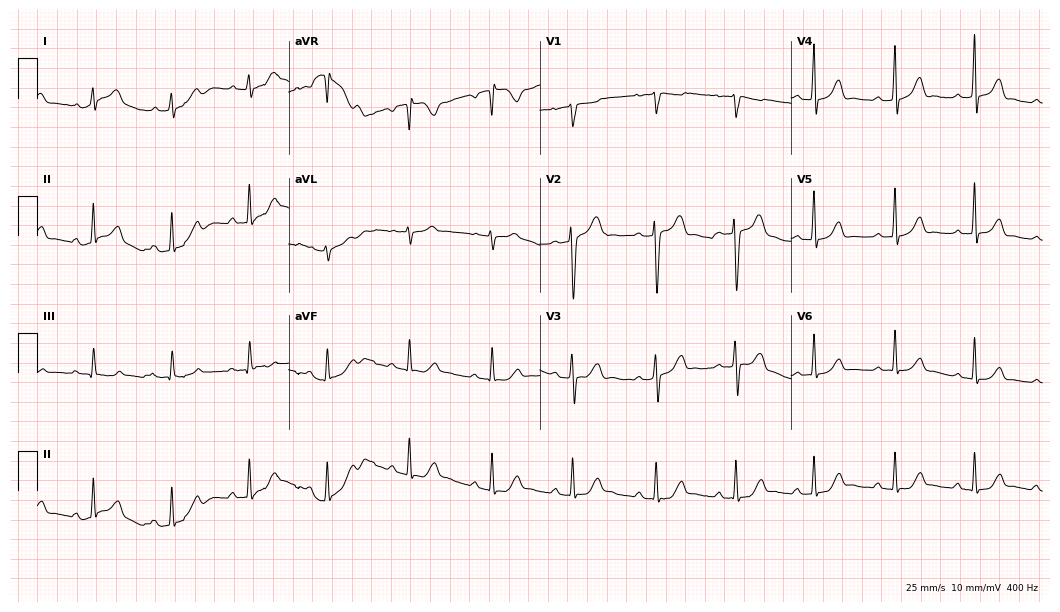
ECG (10.2-second recording at 400 Hz) — a 28-year-old female. Labelled as a normal ECG.